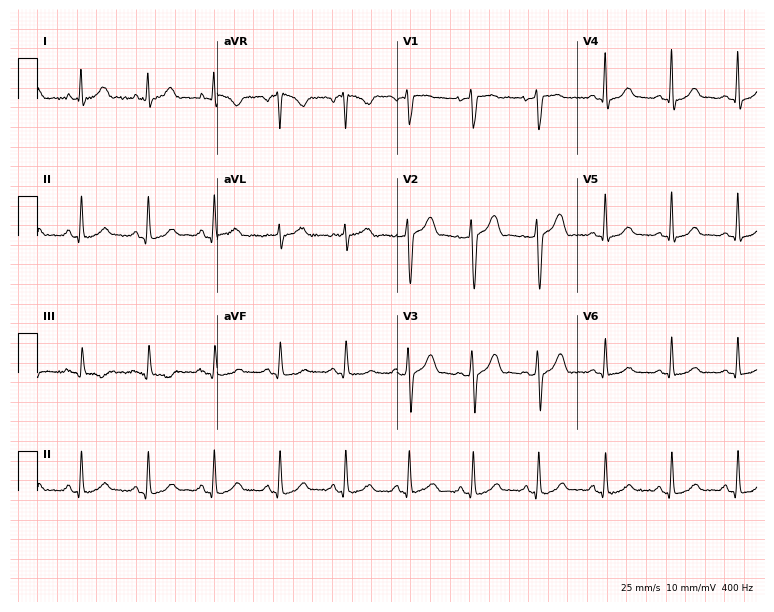
Standard 12-lead ECG recorded from a woman, 48 years old. Read as a normal ECG.